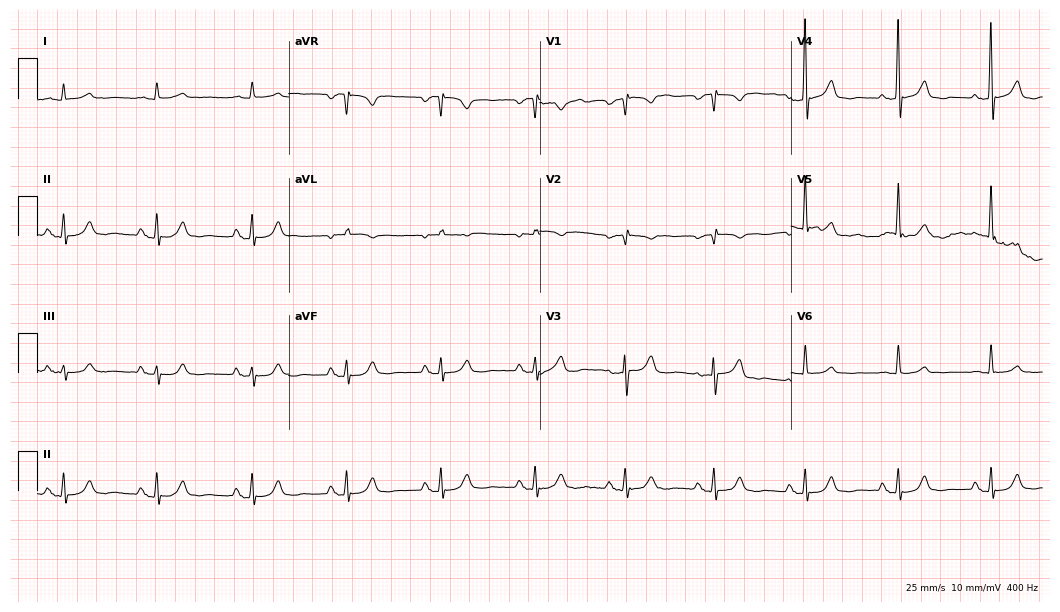
Resting 12-lead electrocardiogram (10.2-second recording at 400 Hz). Patient: an 80-year-old male. None of these six findings is recorded: first-degree AV block, right bundle branch block, left bundle branch block, sinus bradycardia, atrial fibrillation, sinus tachycardia.